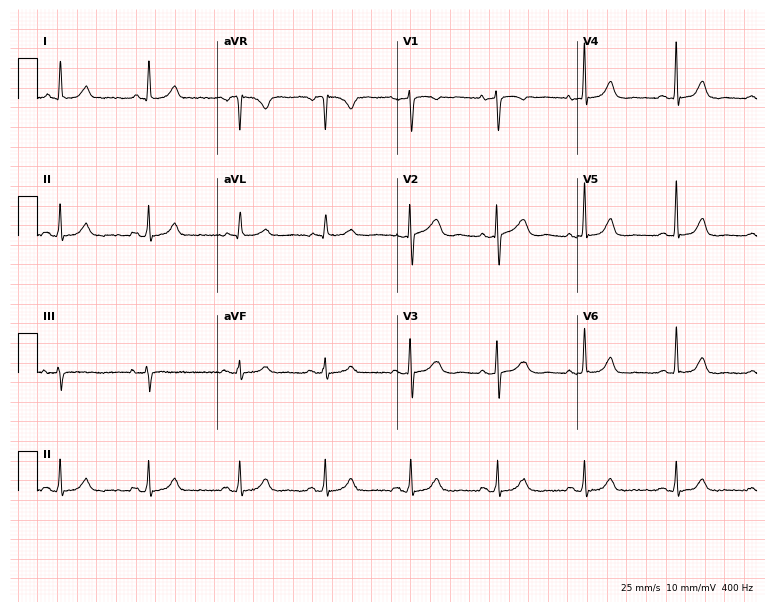
12-lead ECG (7.3-second recording at 400 Hz) from a female, 59 years old. Screened for six findings — first-degree AV block, right bundle branch block (RBBB), left bundle branch block (LBBB), sinus bradycardia, atrial fibrillation (AF), sinus tachycardia — none is recorded.